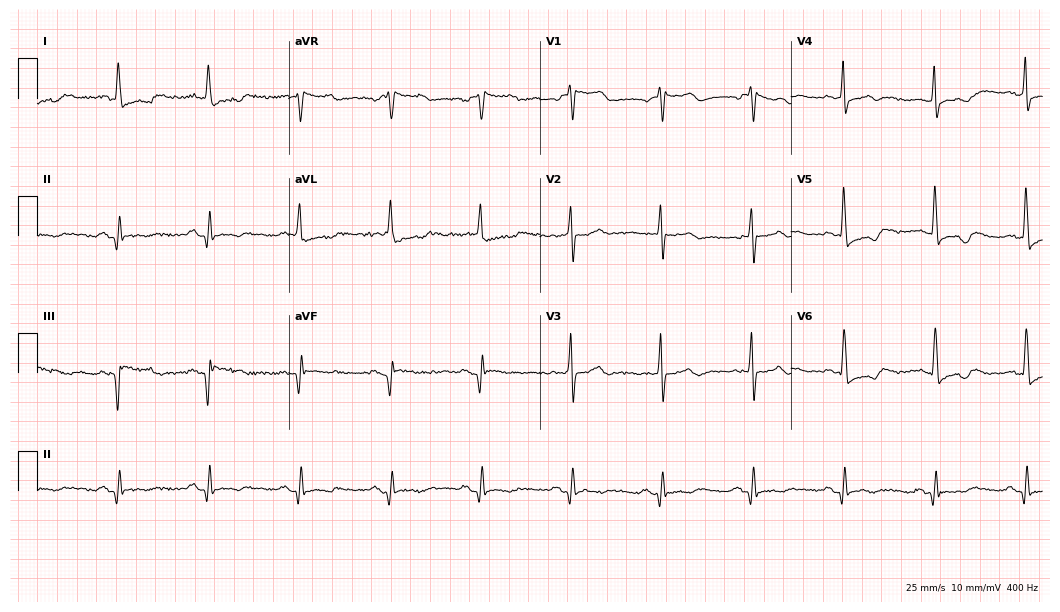
12-lead ECG from a woman, 73 years old. No first-degree AV block, right bundle branch block (RBBB), left bundle branch block (LBBB), sinus bradycardia, atrial fibrillation (AF) or sinus tachycardia recorded for this tracing.